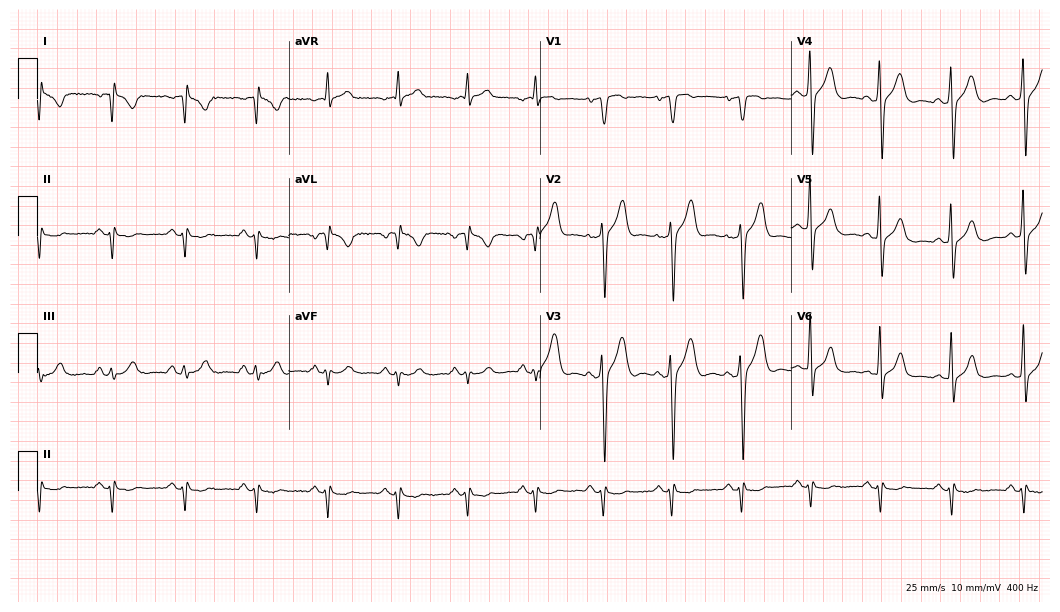
Electrocardiogram (10.2-second recording at 400 Hz), a male, 61 years old. Of the six screened findings (first-degree AV block, right bundle branch block, left bundle branch block, sinus bradycardia, atrial fibrillation, sinus tachycardia), none is recorded.